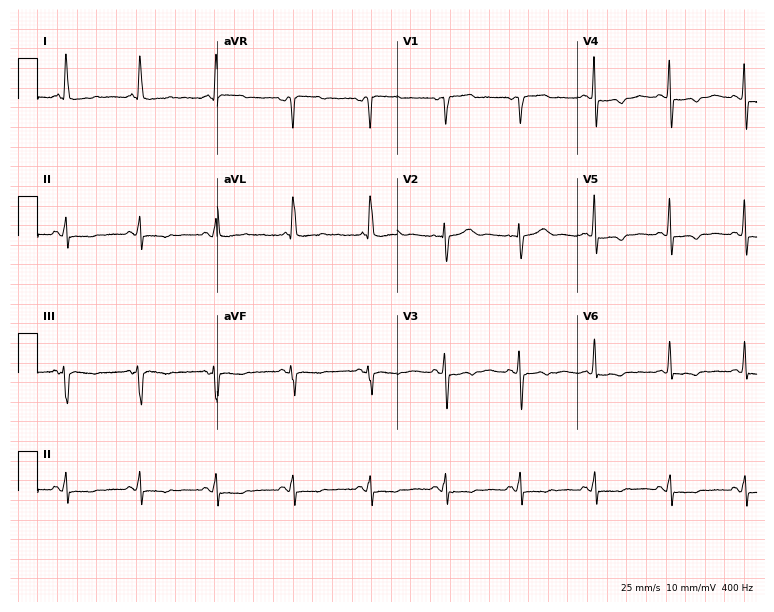
Standard 12-lead ECG recorded from a 76-year-old female patient. None of these six findings is recorded: first-degree AV block, right bundle branch block (RBBB), left bundle branch block (LBBB), sinus bradycardia, atrial fibrillation (AF), sinus tachycardia. Only these six findings were labelled.